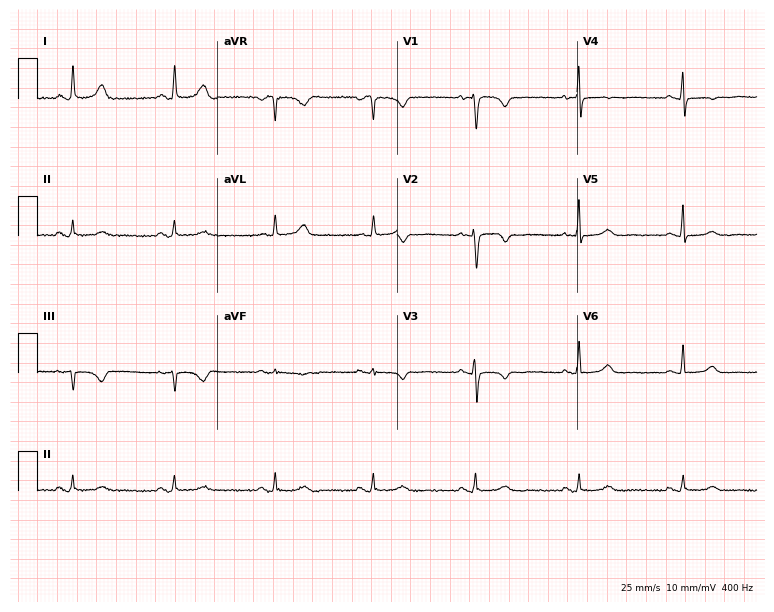
ECG (7.3-second recording at 400 Hz) — a 79-year-old female patient. Labelled as a normal ECG.